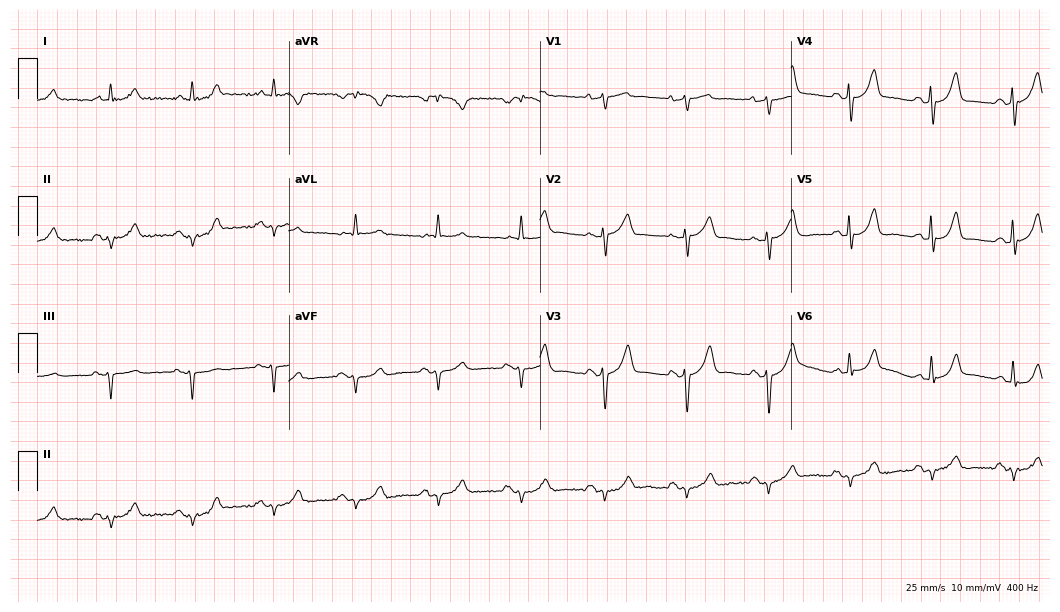
Resting 12-lead electrocardiogram. Patient: a 77-year-old male. Read as a normal ECG.